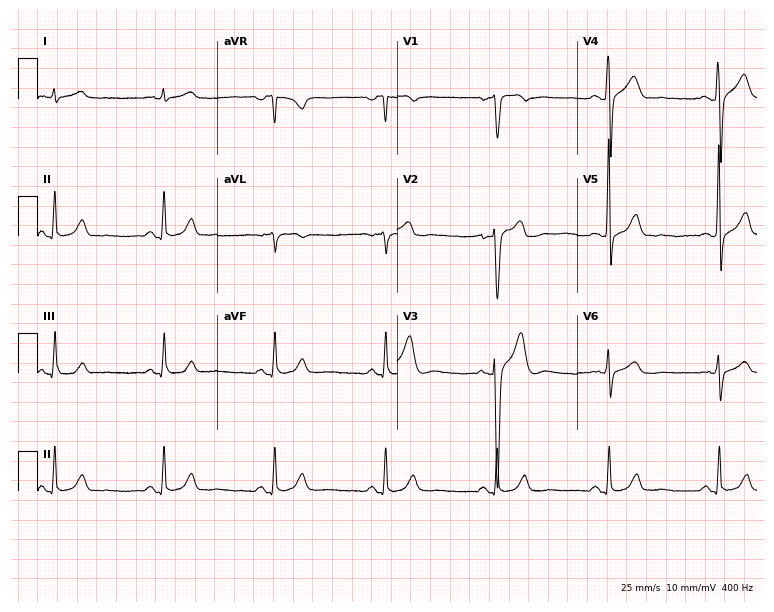
12-lead ECG from a male patient, 46 years old. Labelled as a normal ECG.